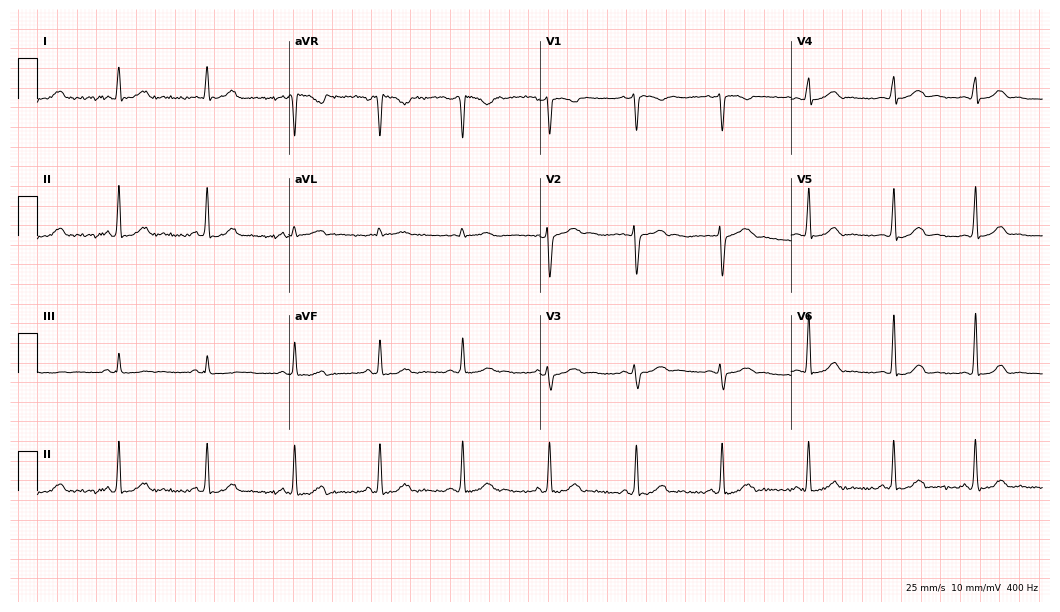
ECG (10.2-second recording at 400 Hz) — a woman, 28 years old. Labelled as a normal ECG.